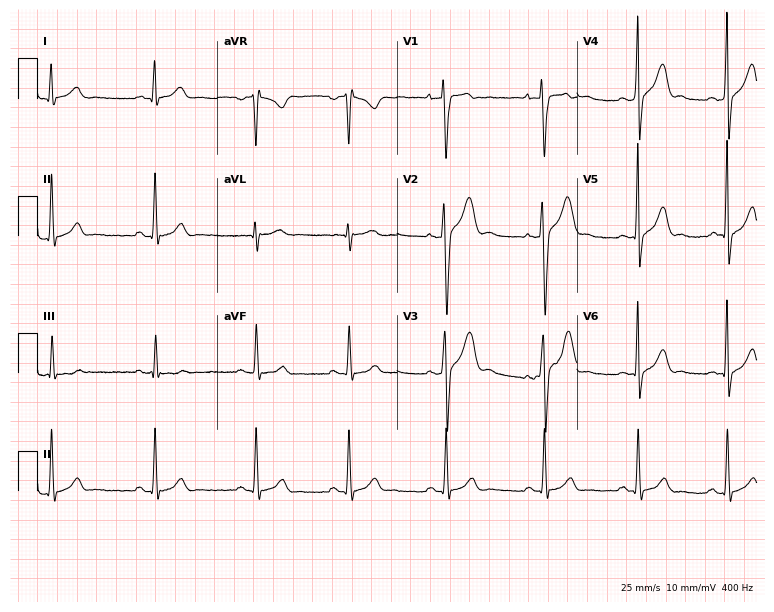
Resting 12-lead electrocardiogram (7.3-second recording at 400 Hz). Patient: a male, 18 years old. None of these six findings is recorded: first-degree AV block, right bundle branch block, left bundle branch block, sinus bradycardia, atrial fibrillation, sinus tachycardia.